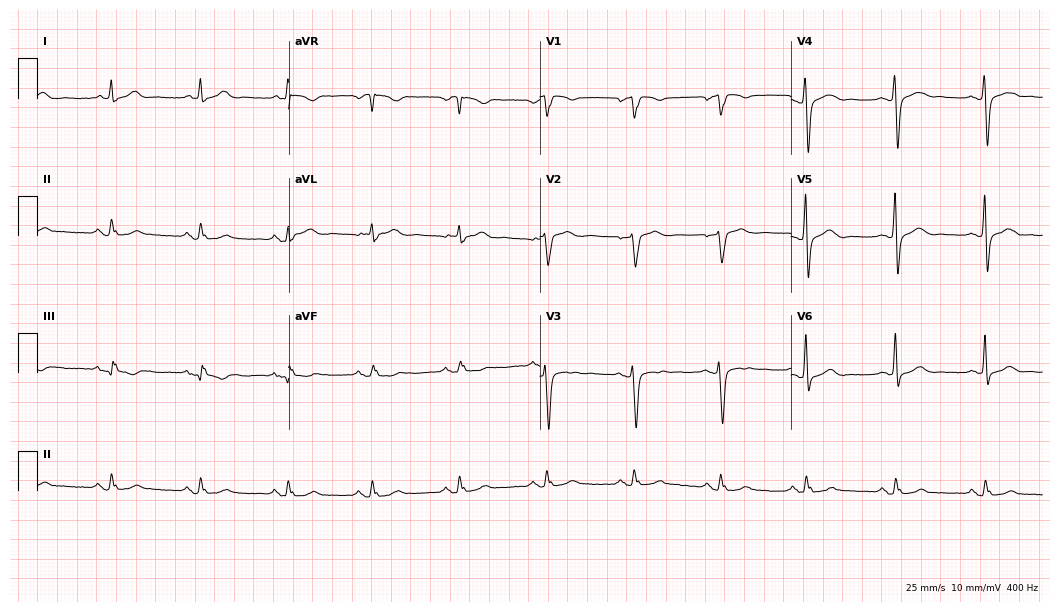
ECG — a 59-year-old male. Screened for six findings — first-degree AV block, right bundle branch block, left bundle branch block, sinus bradycardia, atrial fibrillation, sinus tachycardia — none is recorded.